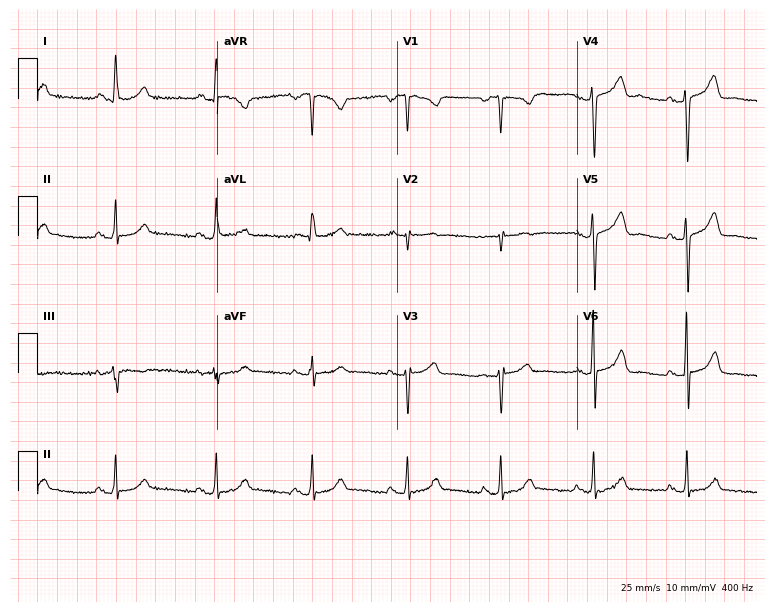
12-lead ECG from a 61-year-old female (7.3-second recording at 400 Hz). No first-degree AV block, right bundle branch block, left bundle branch block, sinus bradycardia, atrial fibrillation or sinus tachycardia recorded for this tracing. Only these six findings were labelled.